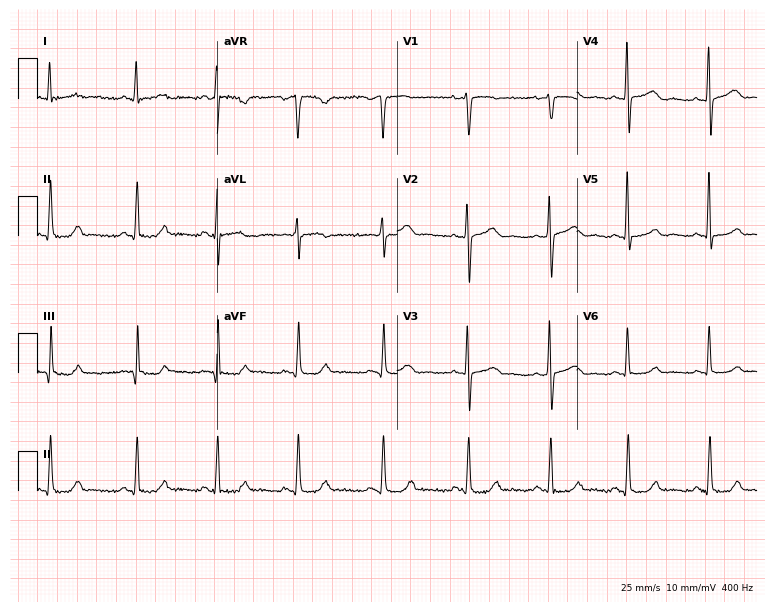
ECG (7.3-second recording at 400 Hz) — a female, 53 years old. Screened for six findings — first-degree AV block, right bundle branch block (RBBB), left bundle branch block (LBBB), sinus bradycardia, atrial fibrillation (AF), sinus tachycardia — none is recorded. Findings outside these six are not listed.